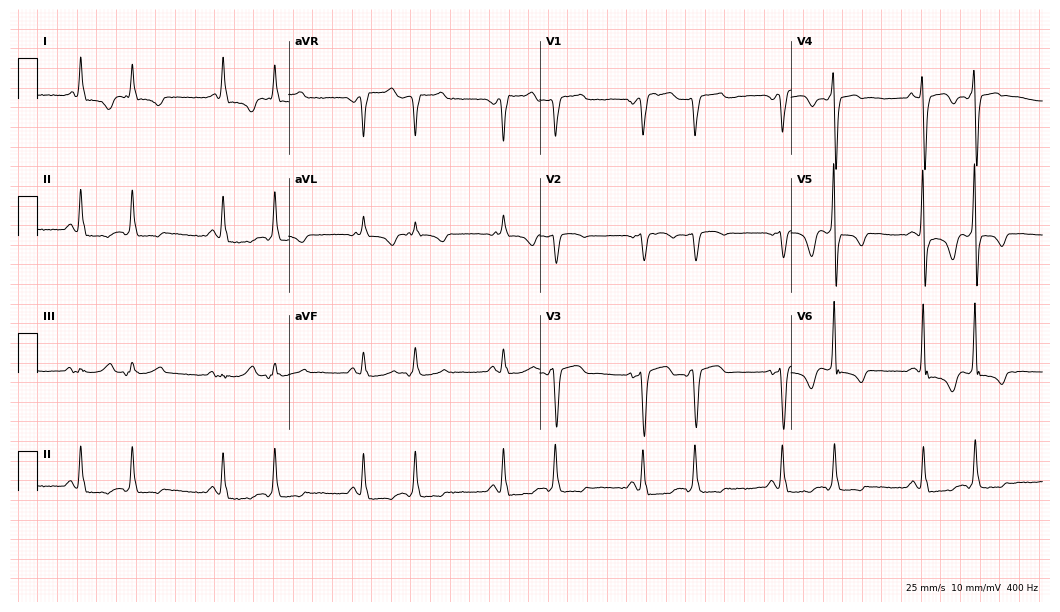
12-lead ECG from a 71-year-old female. Findings include atrial fibrillation.